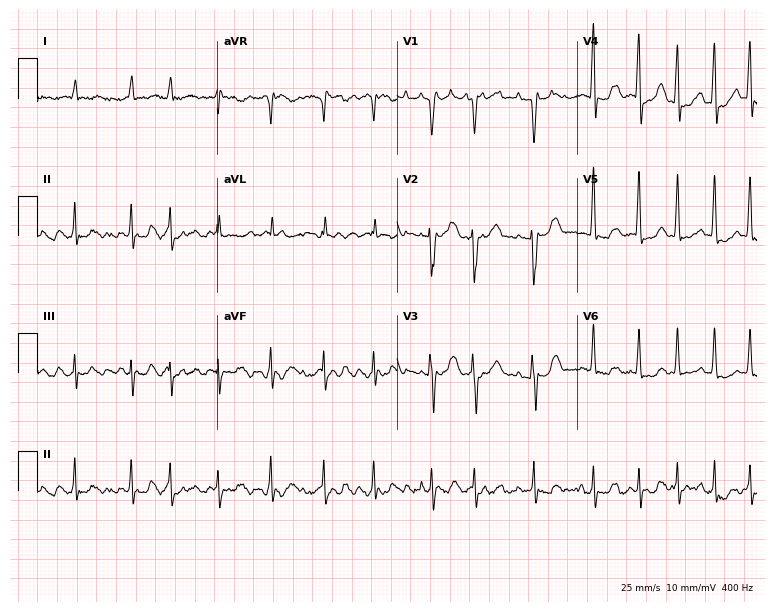
12-lead ECG from an 83-year-old male (7.3-second recording at 400 Hz). Shows atrial fibrillation (AF).